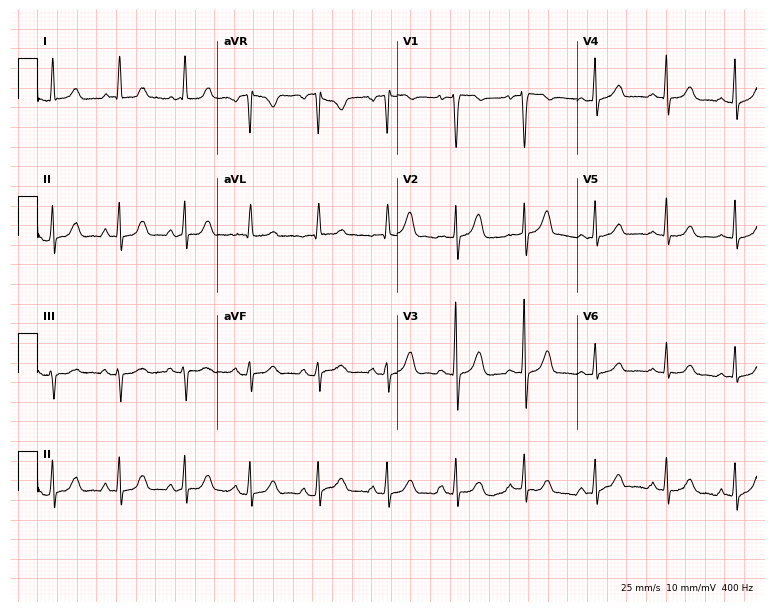
Electrocardiogram (7.3-second recording at 400 Hz), a 50-year-old female. Overall reading on record: normal ECG.